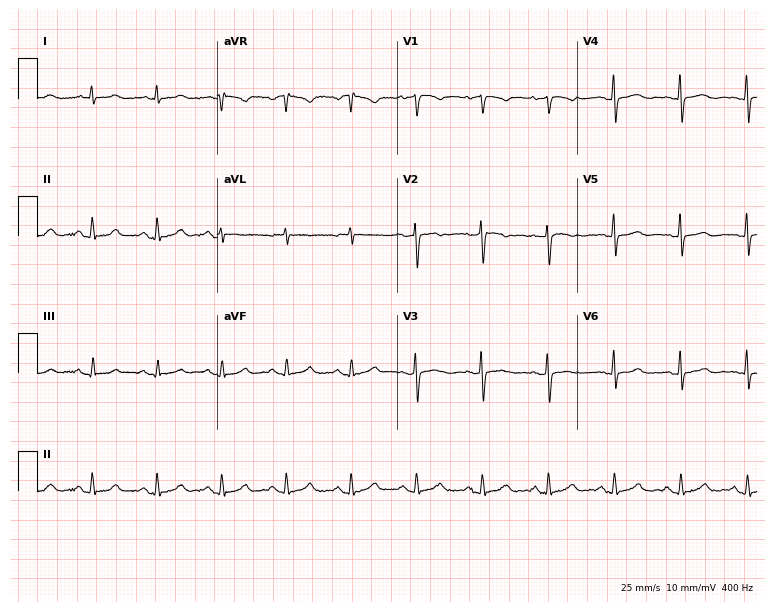
12-lead ECG (7.3-second recording at 400 Hz) from a 60-year-old female. Screened for six findings — first-degree AV block, right bundle branch block, left bundle branch block, sinus bradycardia, atrial fibrillation, sinus tachycardia — none is recorded. Other findings, if any, are not listed.